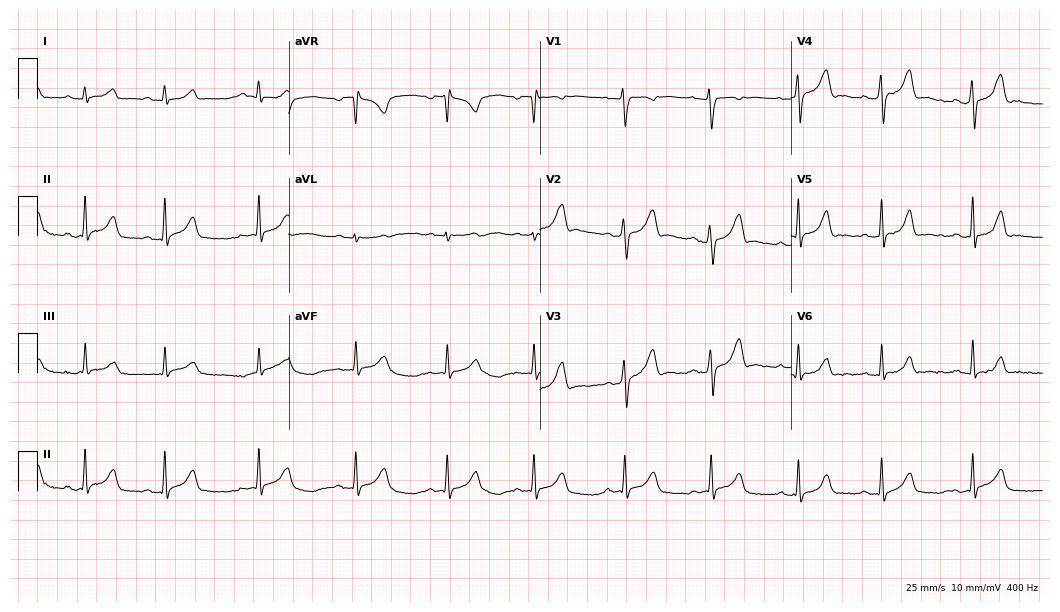
ECG — a female patient, 23 years old. Labelled as a normal ECG.